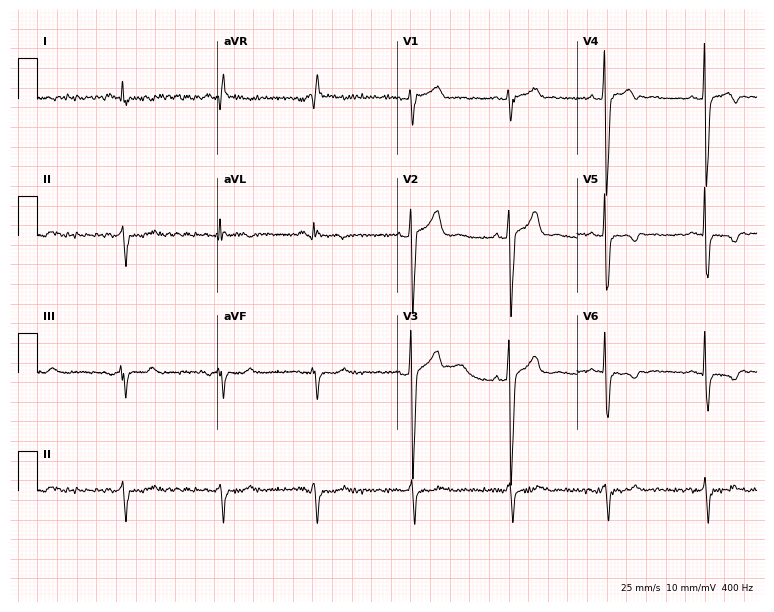
Resting 12-lead electrocardiogram (7.3-second recording at 400 Hz). Patient: a male, 50 years old. None of these six findings is recorded: first-degree AV block, right bundle branch block, left bundle branch block, sinus bradycardia, atrial fibrillation, sinus tachycardia. Only these six findings were labelled.